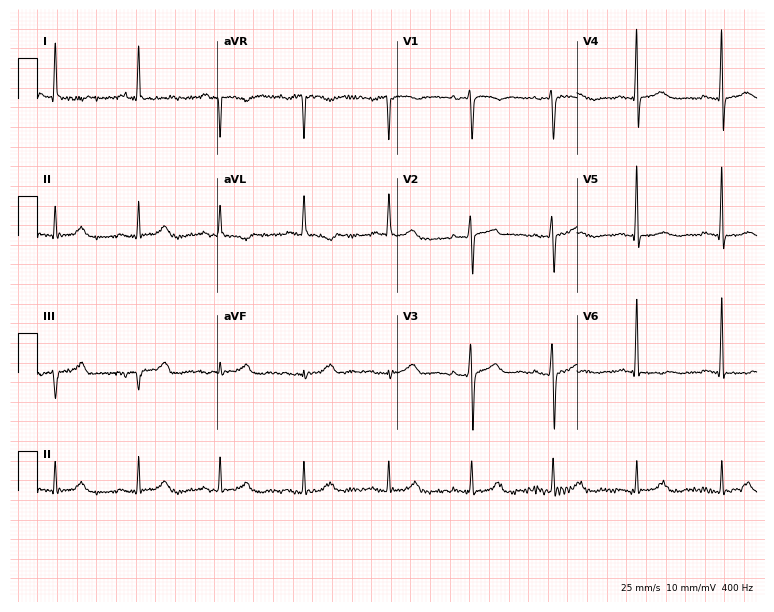
12-lead ECG from a 62-year-old female. Screened for six findings — first-degree AV block, right bundle branch block, left bundle branch block, sinus bradycardia, atrial fibrillation, sinus tachycardia — none is recorded. Only these six findings were labelled.